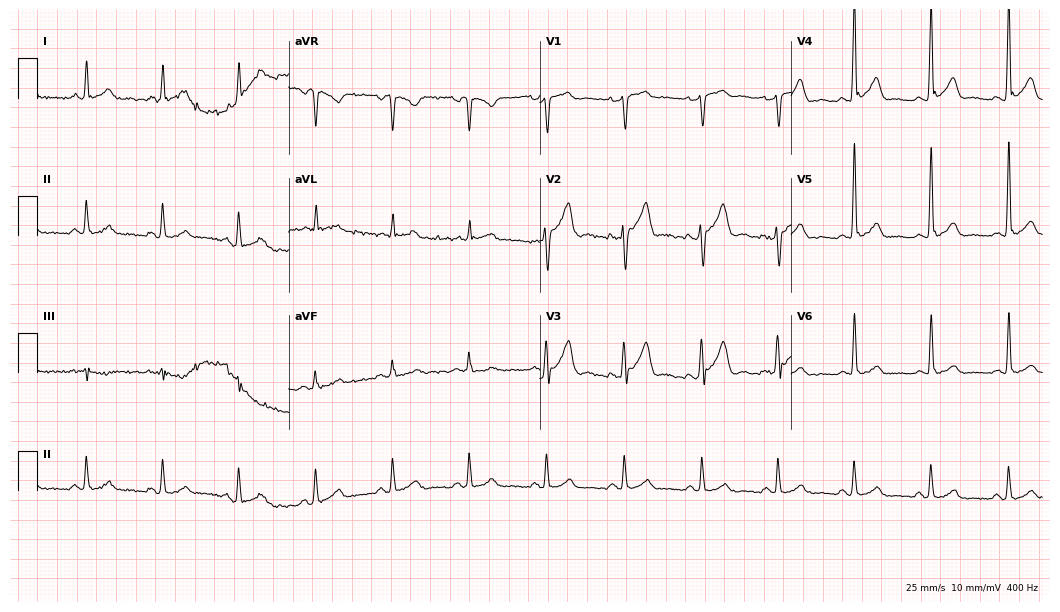
Resting 12-lead electrocardiogram. Patient: a male, 43 years old. Read as a normal ECG.